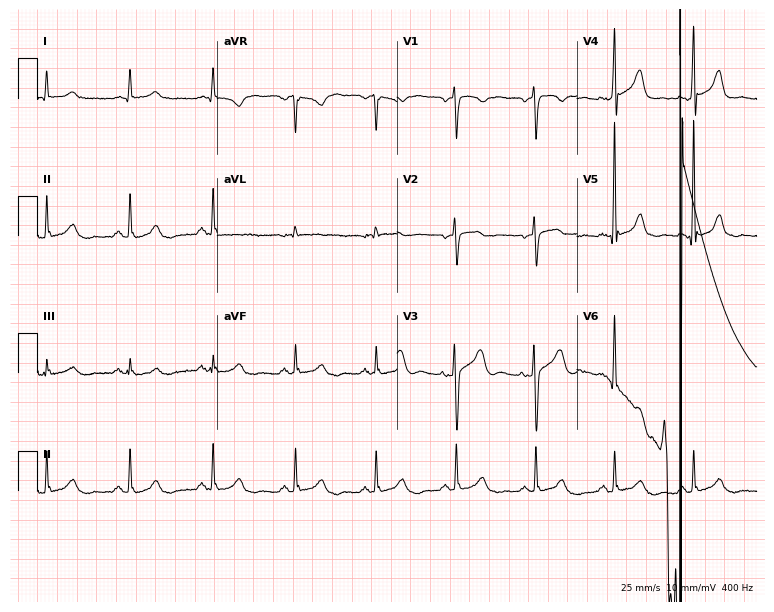
12-lead ECG from a male patient, 53 years old. No first-degree AV block, right bundle branch block, left bundle branch block, sinus bradycardia, atrial fibrillation or sinus tachycardia recorded for this tracing. Other findings, if any, are not listed.